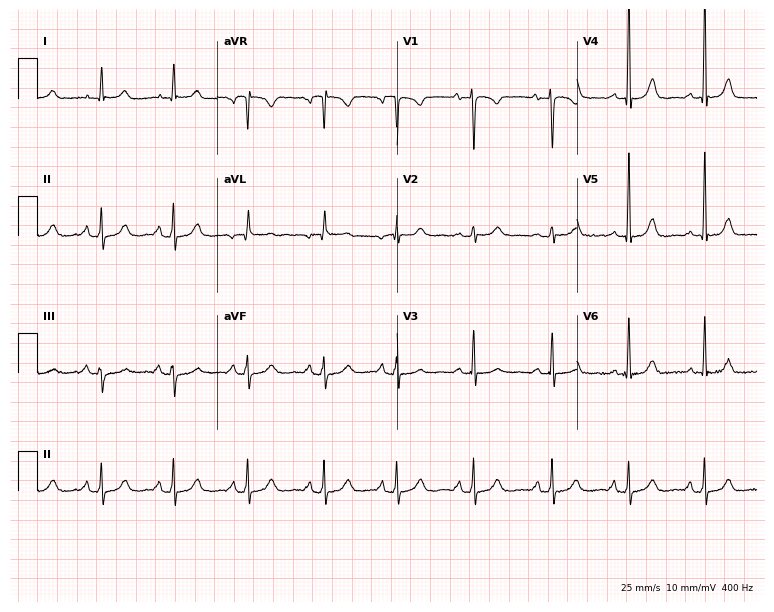
Electrocardiogram (7.3-second recording at 400 Hz), a woman, 40 years old. Overall reading on record: normal ECG.